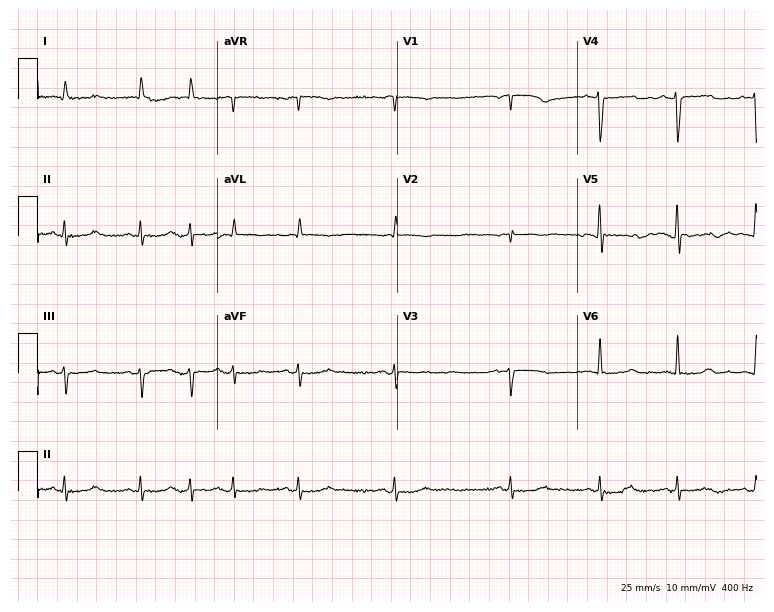
12-lead ECG from a male patient, 84 years old (7.3-second recording at 400 Hz). No first-degree AV block, right bundle branch block, left bundle branch block, sinus bradycardia, atrial fibrillation or sinus tachycardia recorded for this tracing.